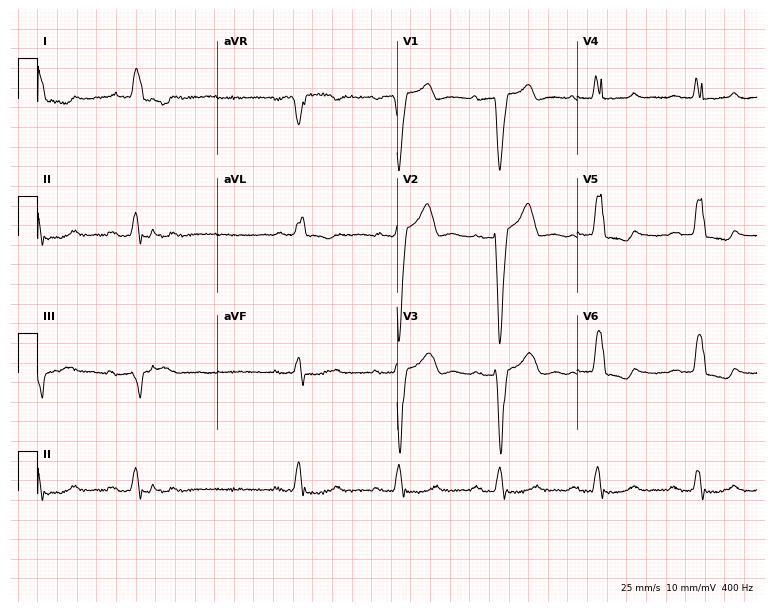
Resting 12-lead electrocardiogram (7.3-second recording at 400 Hz). Patient: a 73-year-old woman. The tracing shows left bundle branch block.